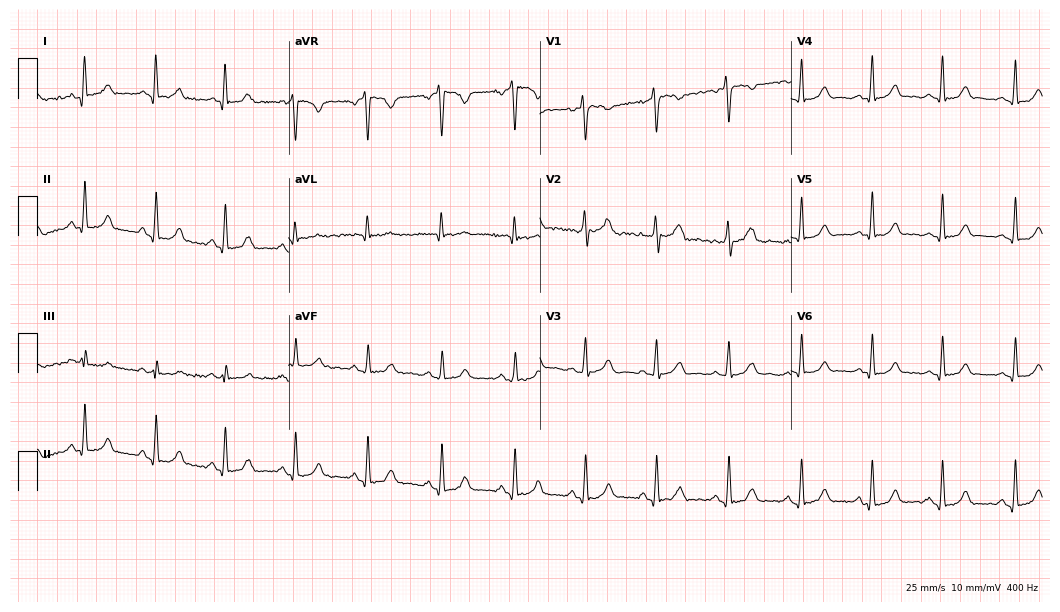
Electrocardiogram (10.2-second recording at 400 Hz), a 36-year-old female. Overall reading on record: normal ECG.